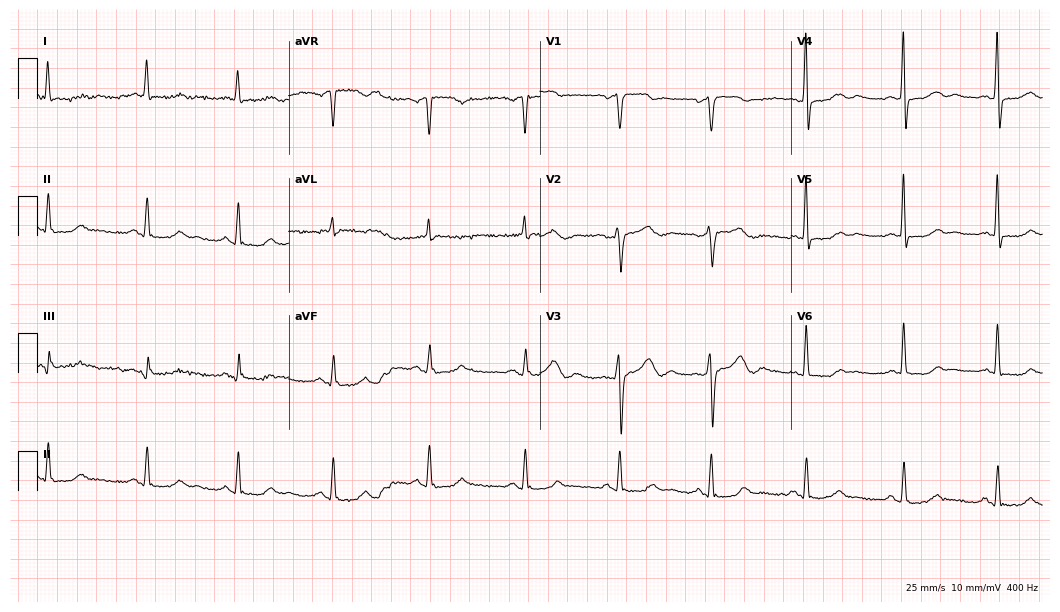
12-lead ECG from a woman, 55 years old. Recorded interpretation: within normal limits.